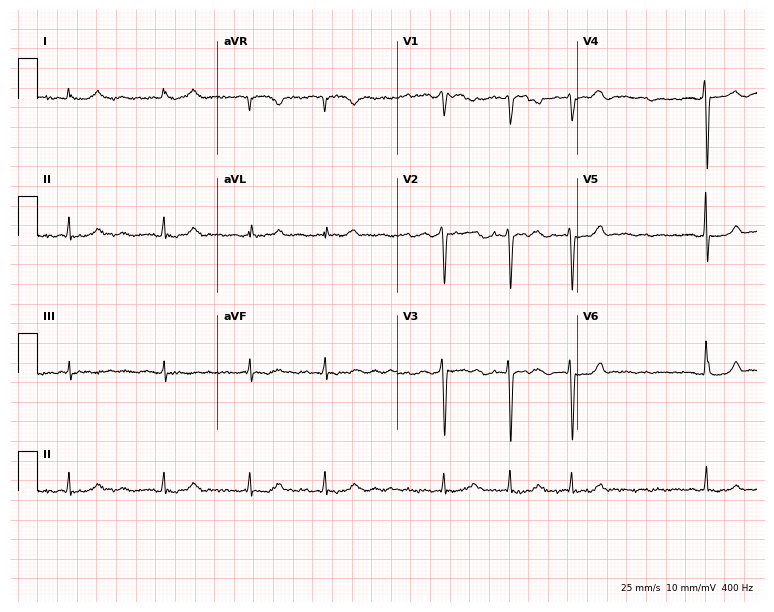
ECG — a female patient, 82 years old. Findings include atrial fibrillation (AF).